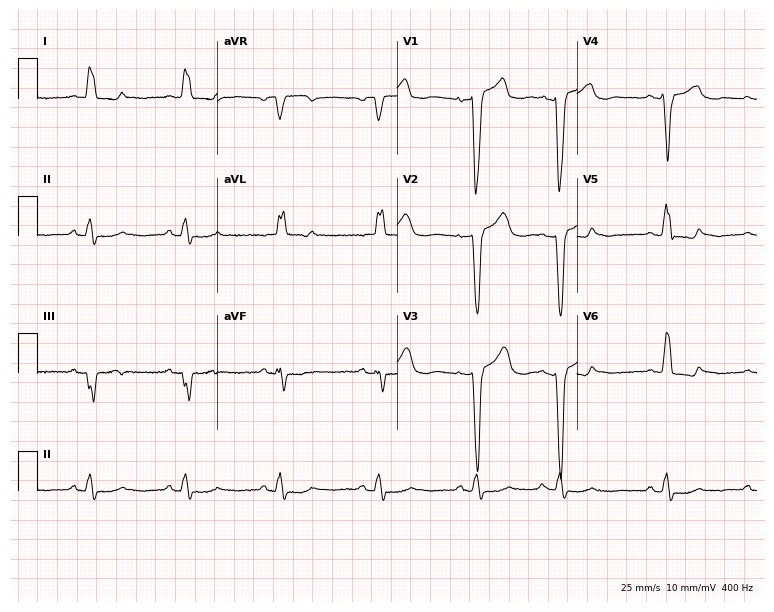
12-lead ECG from a 69-year-old woman. No first-degree AV block, right bundle branch block, left bundle branch block, sinus bradycardia, atrial fibrillation or sinus tachycardia recorded for this tracing. Other findings, if any, are not listed.